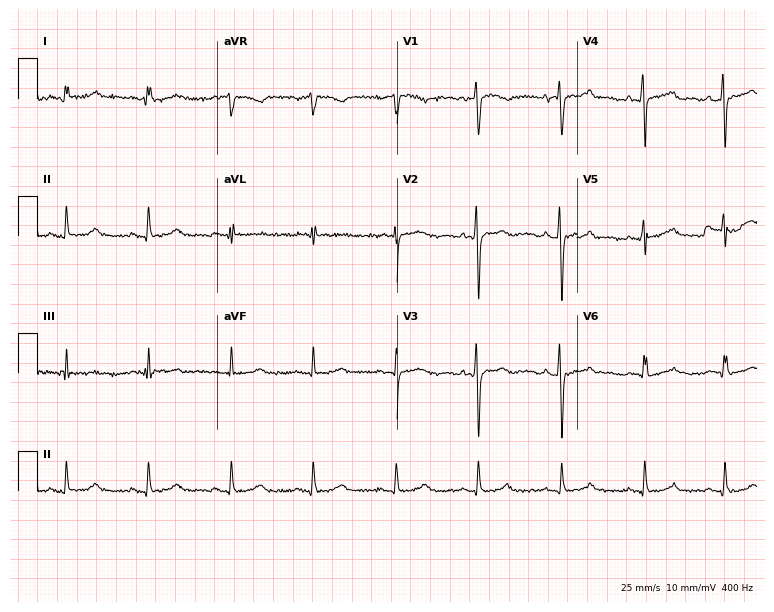
ECG (7.3-second recording at 400 Hz) — a 76-year-old female. Labelled as a normal ECG.